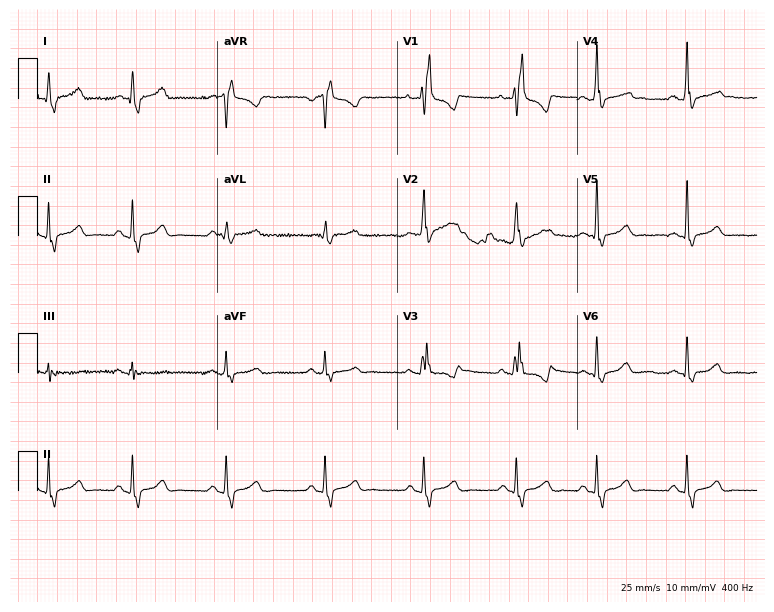
Standard 12-lead ECG recorded from a woman, 23 years old (7.3-second recording at 400 Hz). The tracing shows right bundle branch block (RBBB).